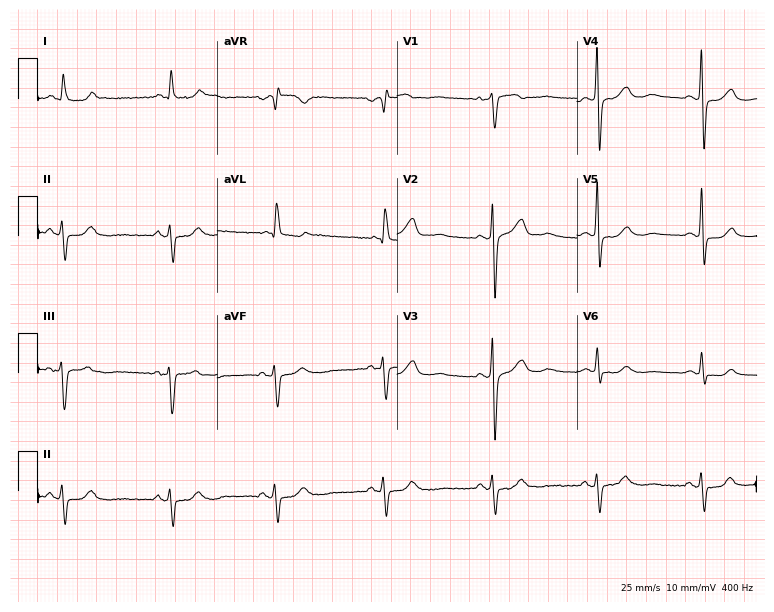
12-lead ECG from a female patient, 84 years old. No first-degree AV block, right bundle branch block, left bundle branch block, sinus bradycardia, atrial fibrillation or sinus tachycardia recorded for this tracing. Findings outside these six are not listed.